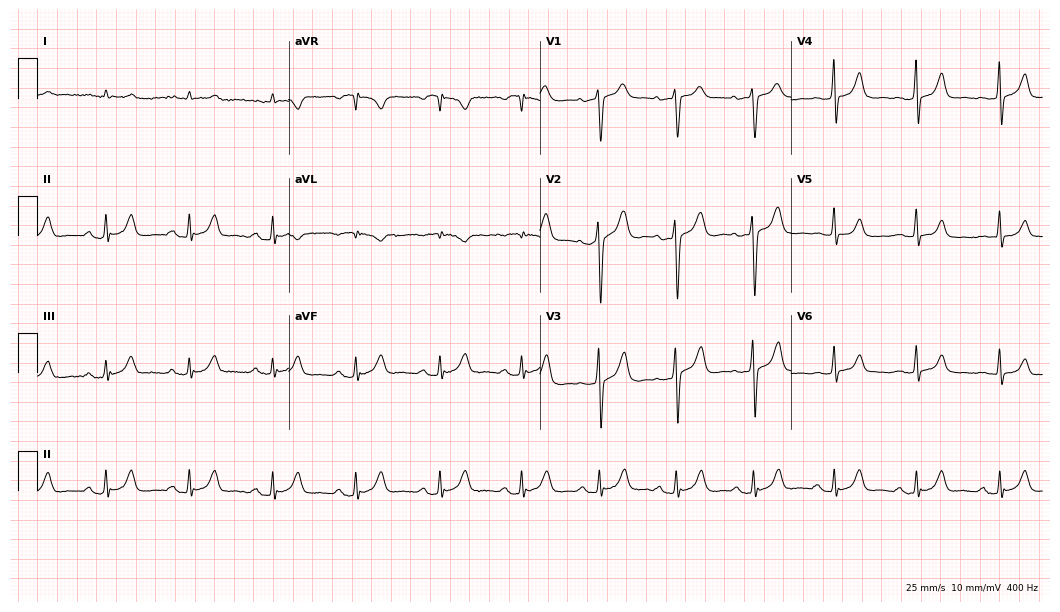
12-lead ECG from a man, 57 years old. Labelled as a normal ECG.